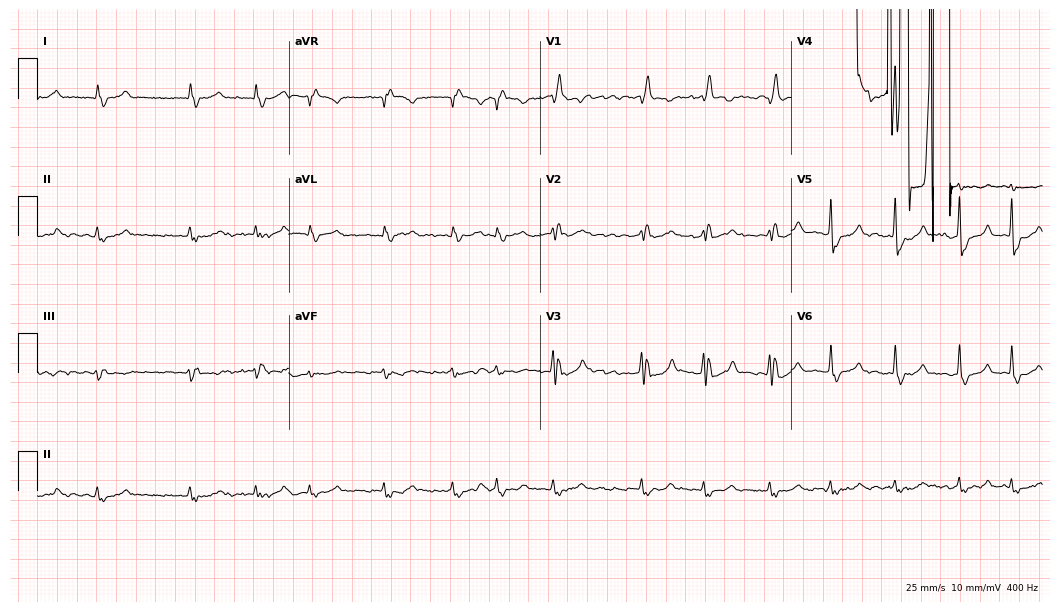
Standard 12-lead ECG recorded from an 85-year-old male. The tracing shows atrial fibrillation.